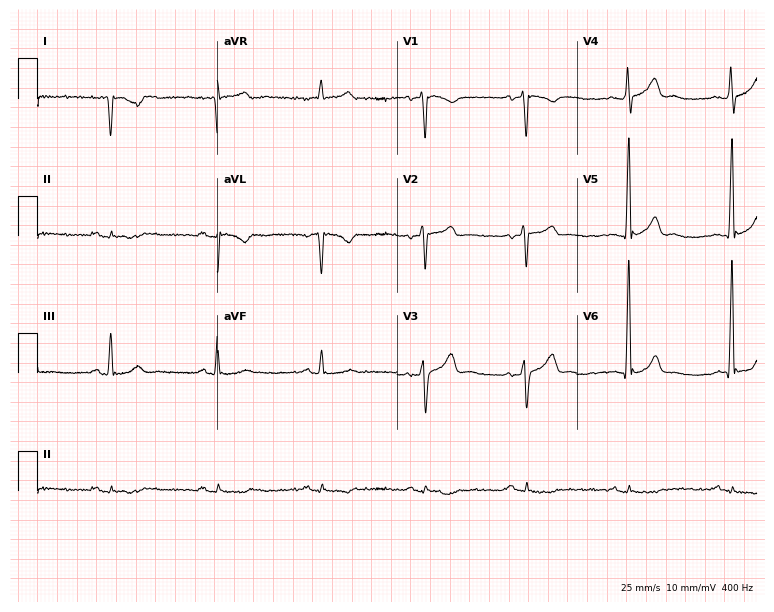
Resting 12-lead electrocardiogram (7.3-second recording at 400 Hz). Patient: a 37-year-old male. None of these six findings is recorded: first-degree AV block, right bundle branch block, left bundle branch block, sinus bradycardia, atrial fibrillation, sinus tachycardia. Findings outside these six are not listed.